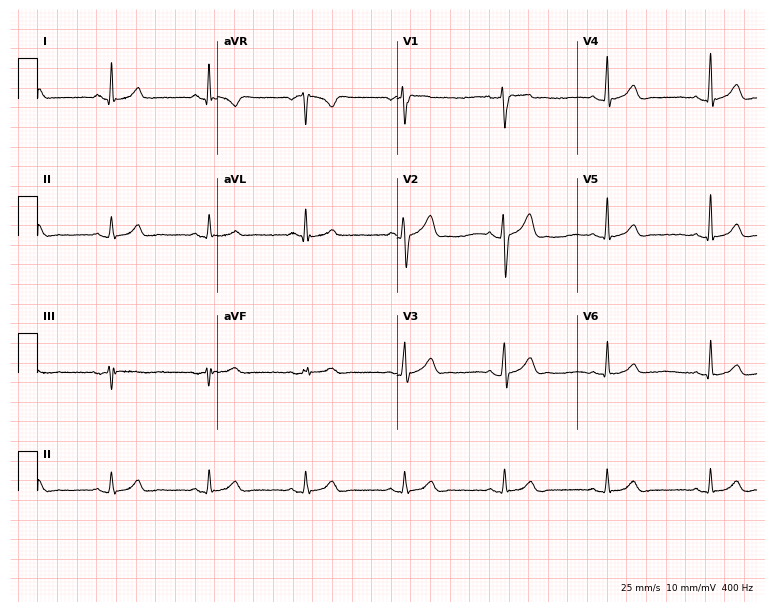
Resting 12-lead electrocardiogram (7.3-second recording at 400 Hz). Patient: a male, 43 years old. Read as a normal ECG.